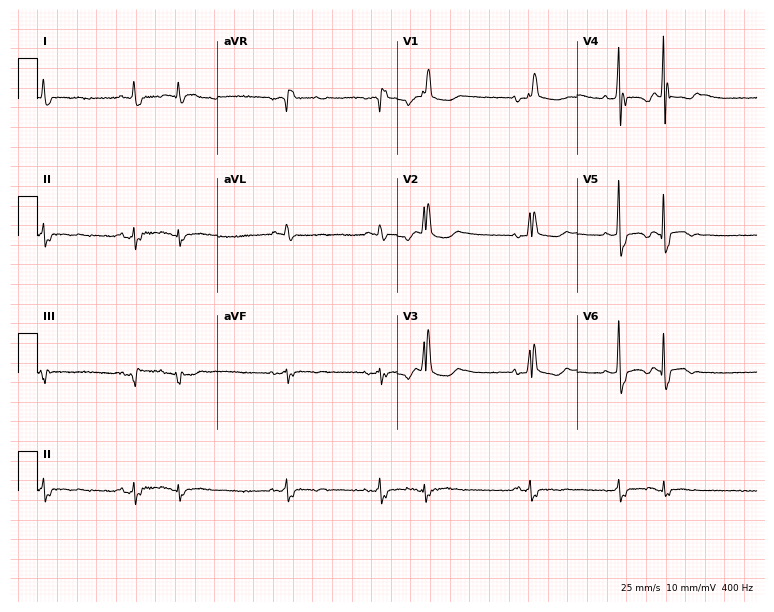
ECG — a female patient, 81 years old. Findings include right bundle branch block (RBBB).